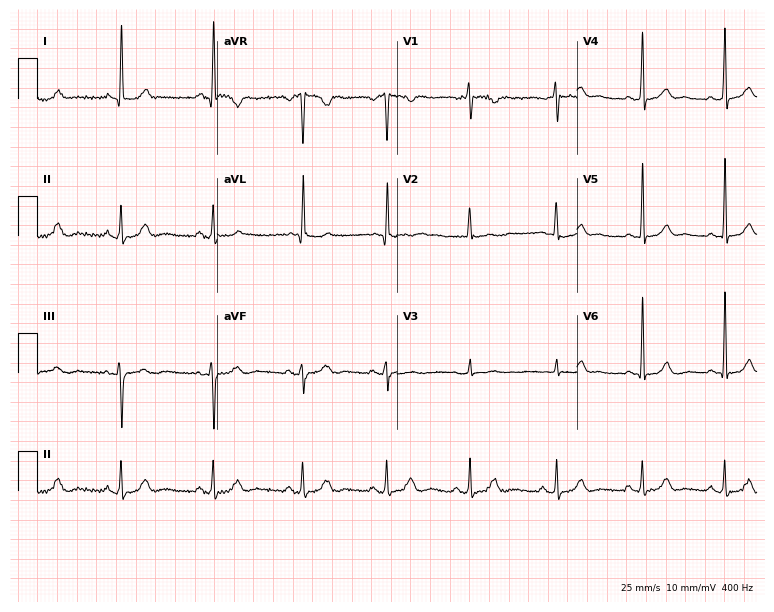
ECG — a 39-year-old woman. Labelled as a normal ECG.